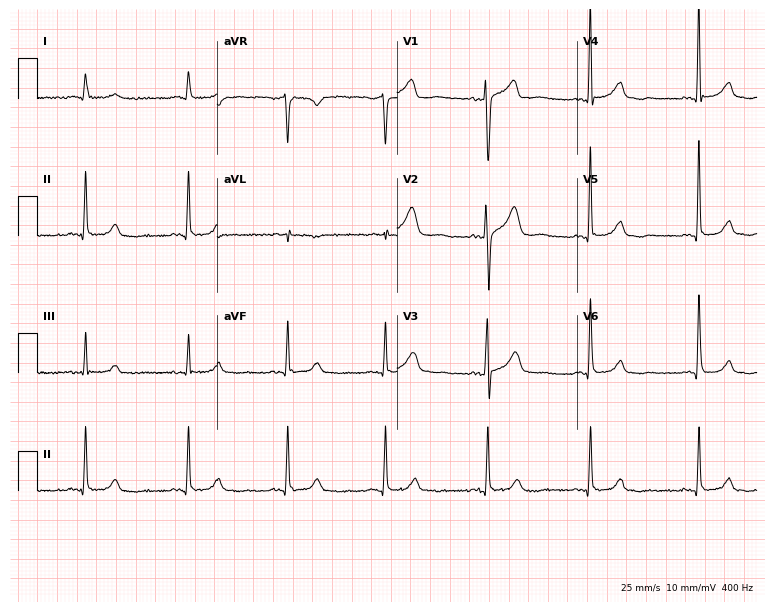
Electrocardiogram (7.3-second recording at 400 Hz), a 68-year-old male patient. Of the six screened findings (first-degree AV block, right bundle branch block (RBBB), left bundle branch block (LBBB), sinus bradycardia, atrial fibrillation (AF), sinus tachycardia), none is recorded.